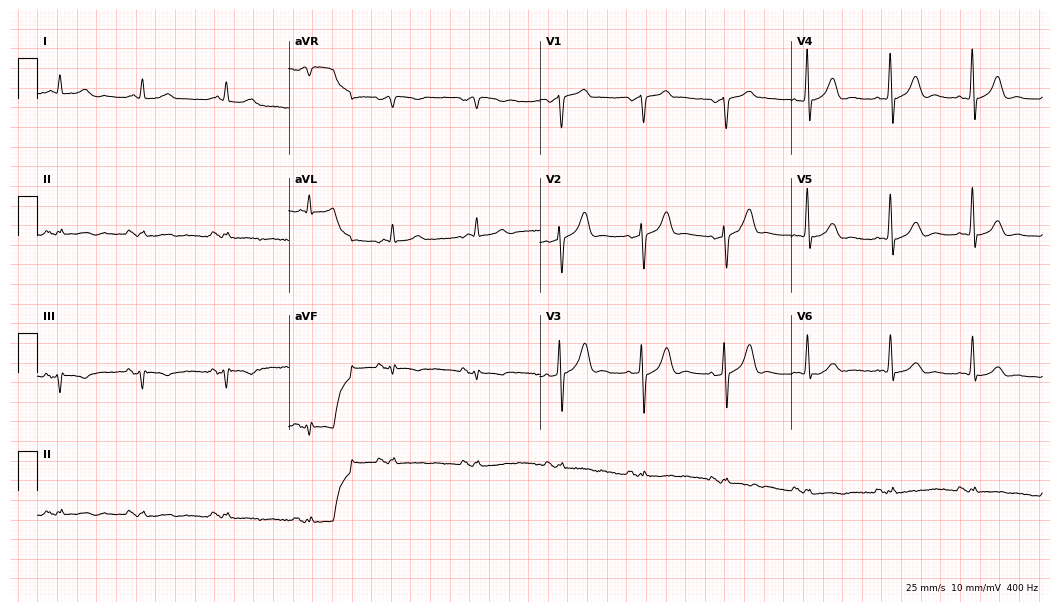
Resting 12-lead electrocardiogram (10.2-second recording at 400 Hz). Patient: a 78-year-old man. Read as a normal ECG.